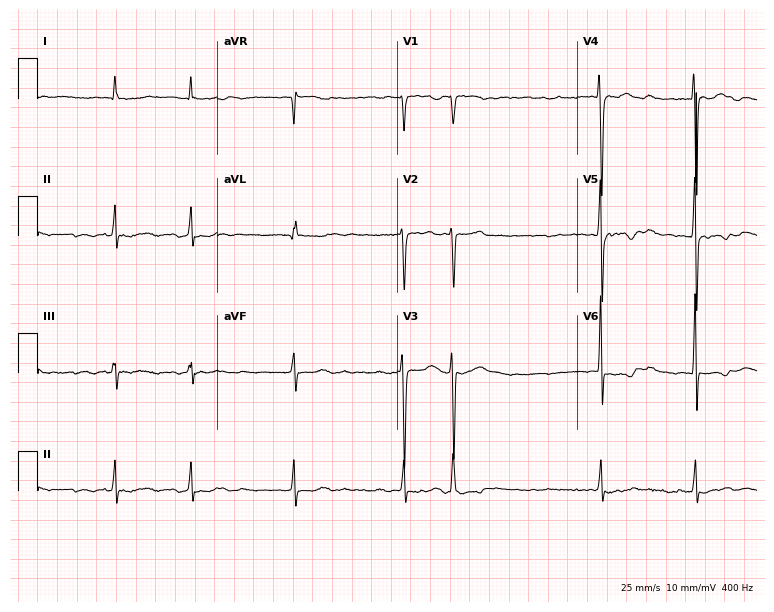
Electrocardiogram (7.3-second recording at 400 Hz), a 74-year-old female patient. Interpretation includes atrial fibrillation (AF).